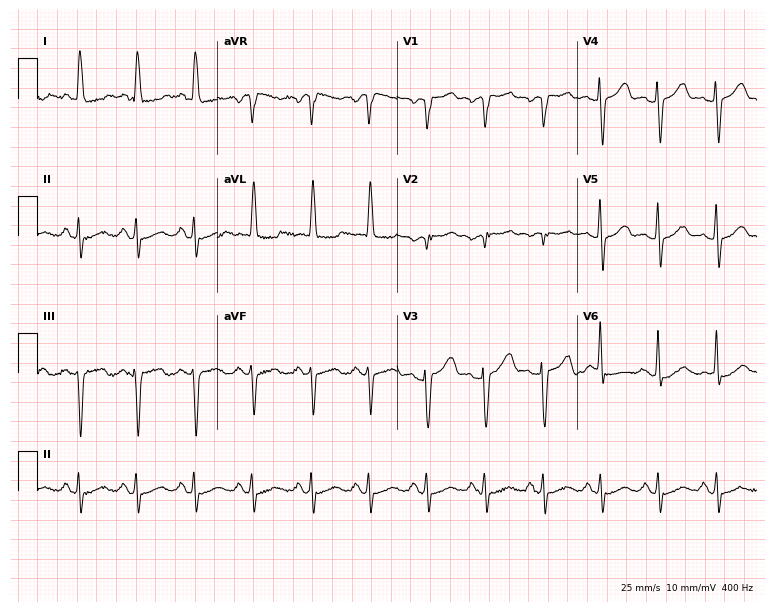
Electrocardiogram (7.3-second recording at 400 Hz), a female patient, 68 years old. Of the six screened findings (first-degree AV block, right bundle branch block, left bundle branch block, sinus bradycardia, atrial fibrillation, sinus tachycardia), none is recorded.